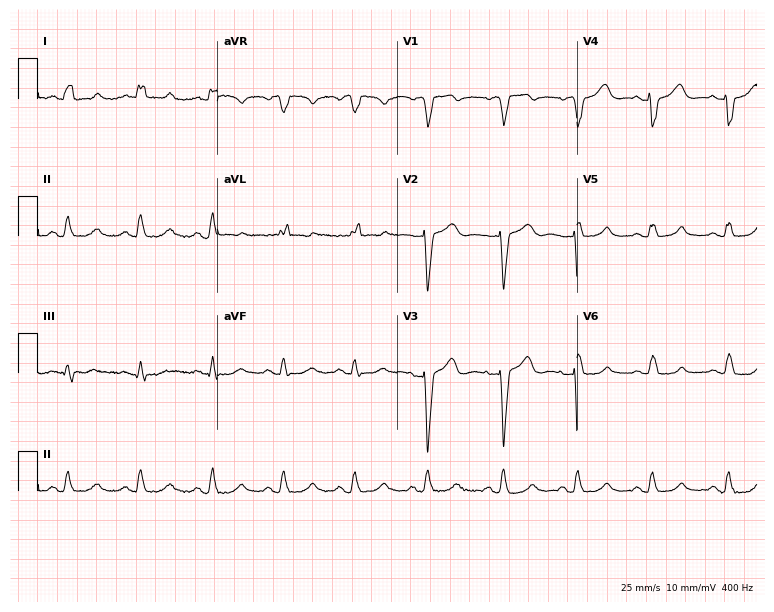
ECG — an 87-year-old woman. Findings include left bundle branch block.